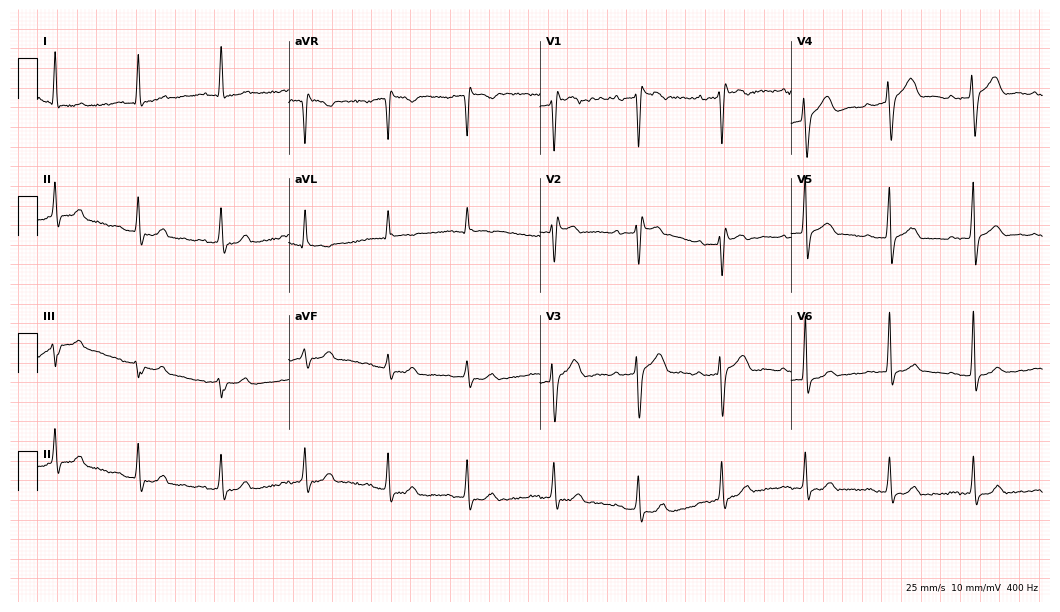
Resting 12-lead electrocardiogram (10.2-second recording at 400 Hz). Patient: a man, 55 years old. The tracing shows right bundle branch block.